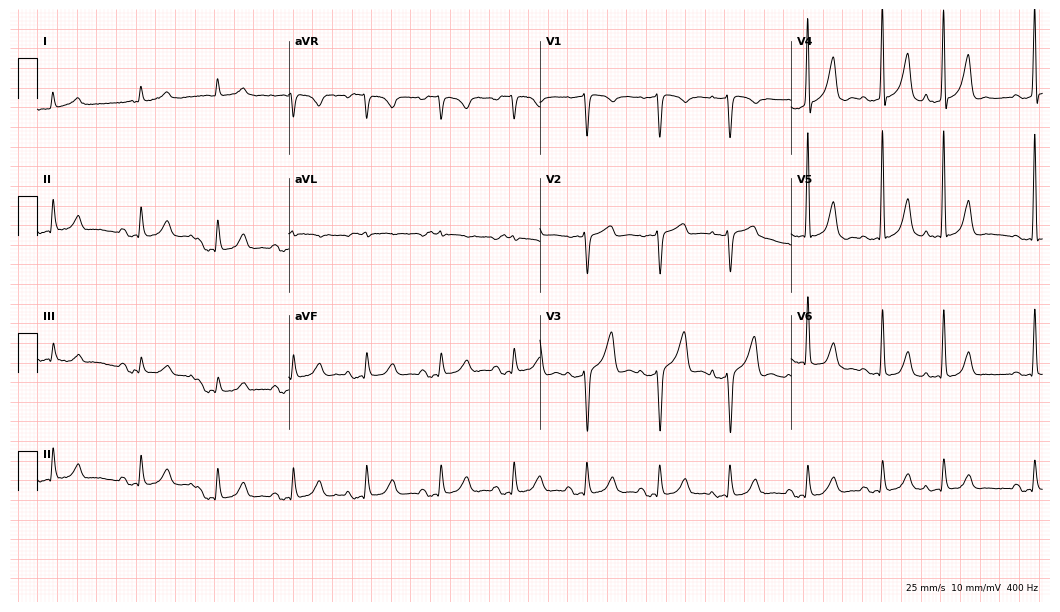
Resting 12-lead electrocardiogram (10.2-second recording at 400 Hz). Patient: a male, 66 years old. None of these six findings is recorded: first-degree AV block, right bundle branch block (RBBB), left bundle branch block (LBBB), sinus bradycardia, atrial fibrillation (AF), sinus tachycardia. Findings outside these six are not listed.